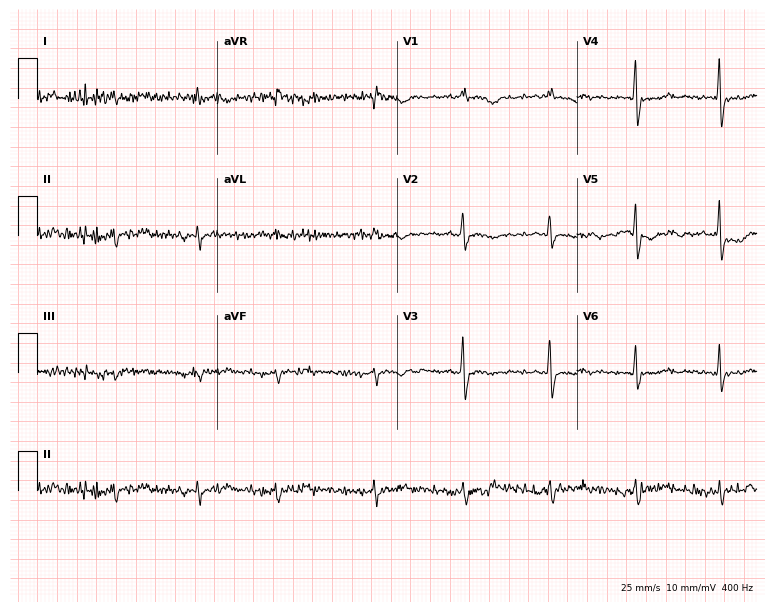
Electrocardiogram, a 70-year-old woman. Of the six screened findings (first-degree AV block, right bundle branch block, left bundle branch block, sinus bradycardia, atrial fibrillation, sinus tachycardia), none is recorded. Only these six findings were labelled.